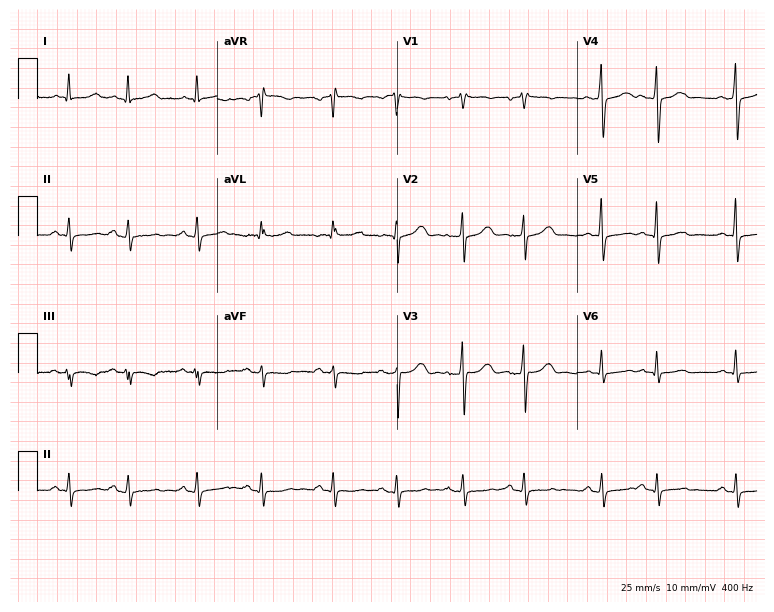
Standard 12-lead ECG recorded from a female, 78 years old. None of these six findings is recorded: first-degree AV block, right bundle branch block, left bundle branch block, sinus bradycardia, atrial fibrillation, sinus tachycardia. Findings outside these six are not listed.